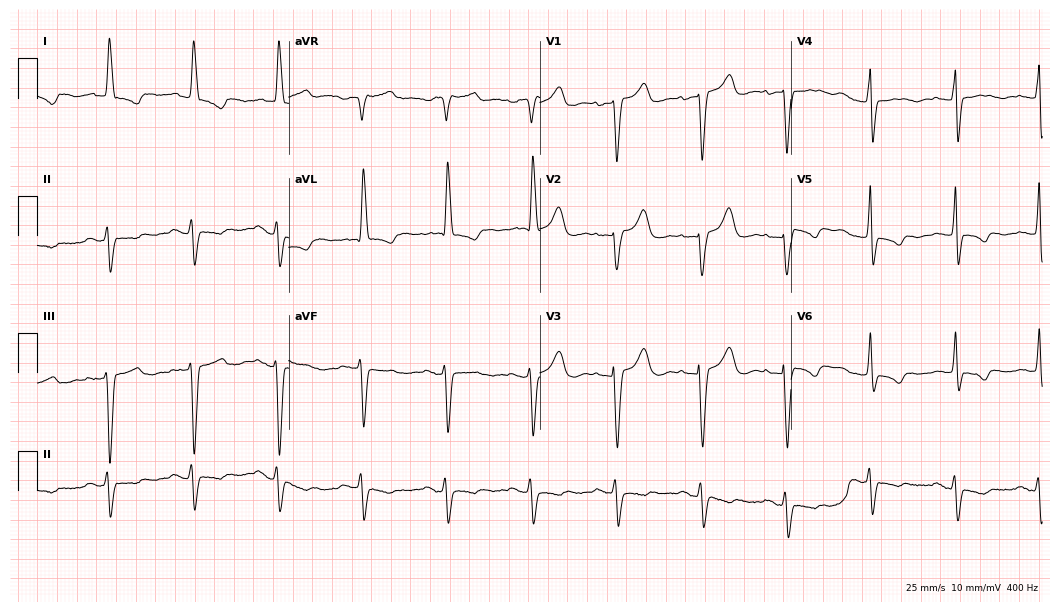
12-lead ECG from a 77-year-old female. Screened for six findings — first-degree AV block, right bundle branch block, left bundle branch block, sinus bradycardia, atrial fibrillation, sinus tachycardia — none is recorded.